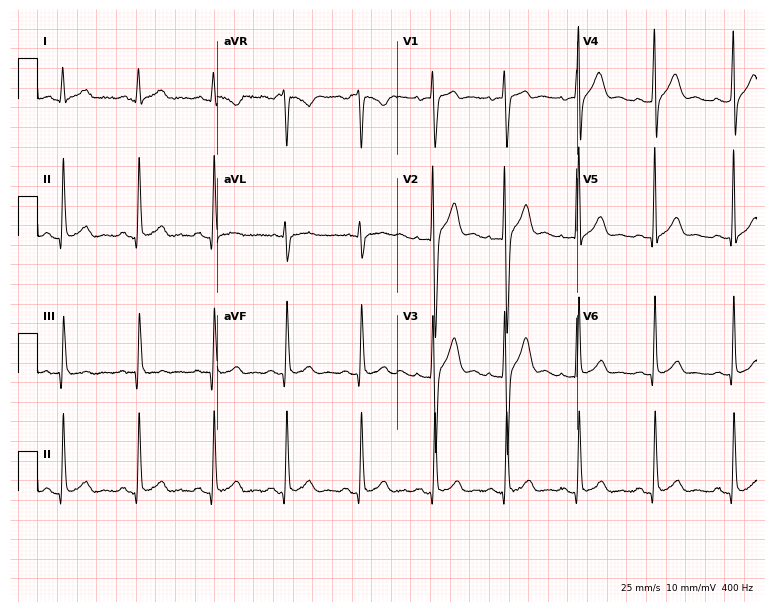
12-lead ECG from a 20-year-old male. Recorded interpretation: within normal limits.